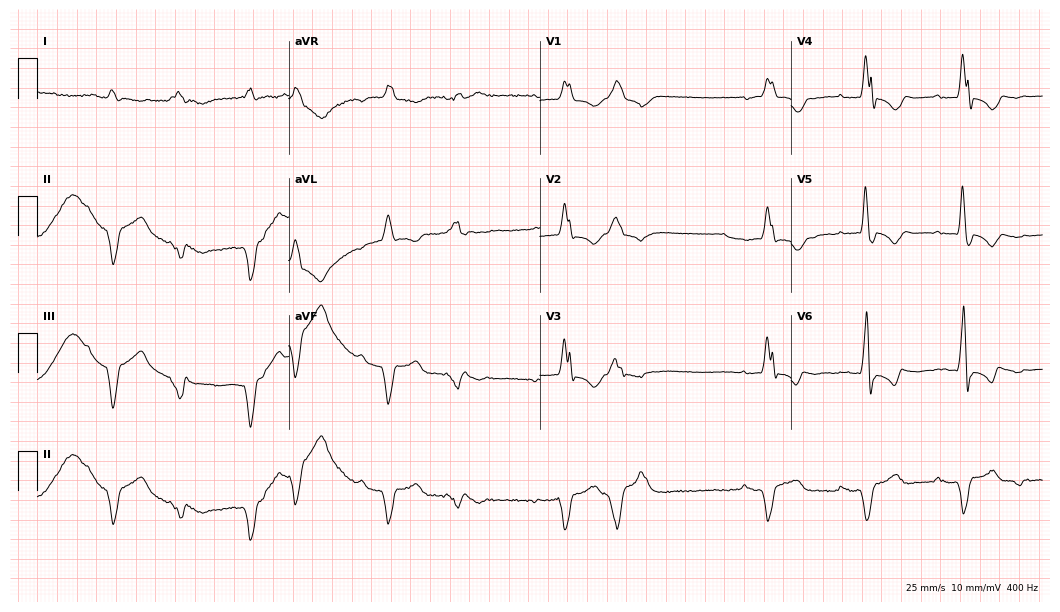
12-lead ECG (10.2-second recording at 400 Hz) from a man, 76 years old. Screened for six findings — first-degree AV block, right bundle branch block, left bundle branch block, sinus bradycardia, atrial fibrillation, sinus tachycardia — none is recorded.